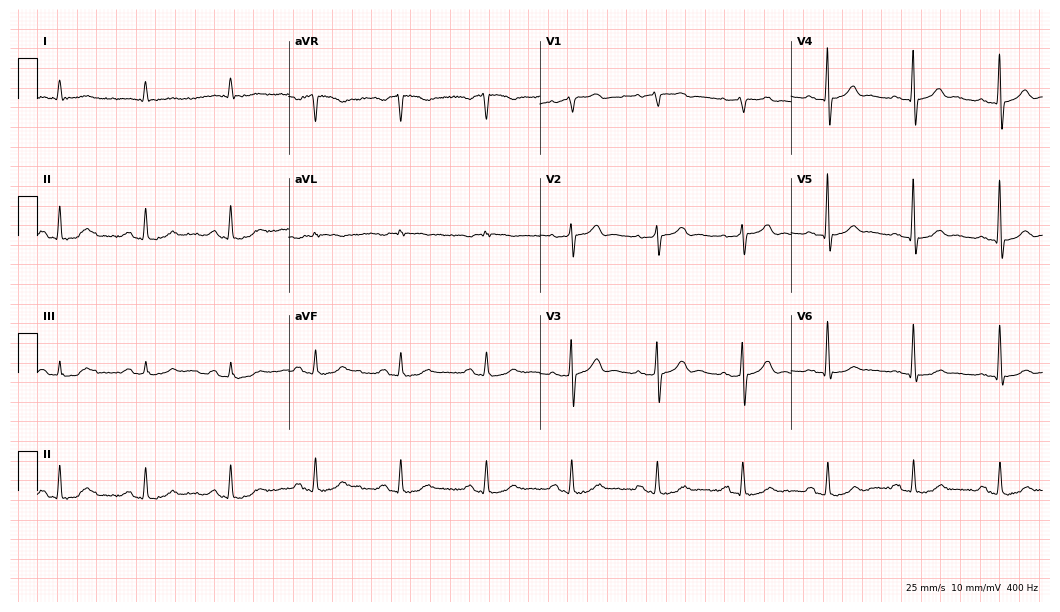
12-lead ECG from a 78-year-old male. No first-degree AV block, right bundle branch block (RBBB), left bundle branch block (LBBB), sinus bradycardia, atrial fibrillation (AF) or sinus tachycardia recorded for this tracing. Findings outside these six are not listed.